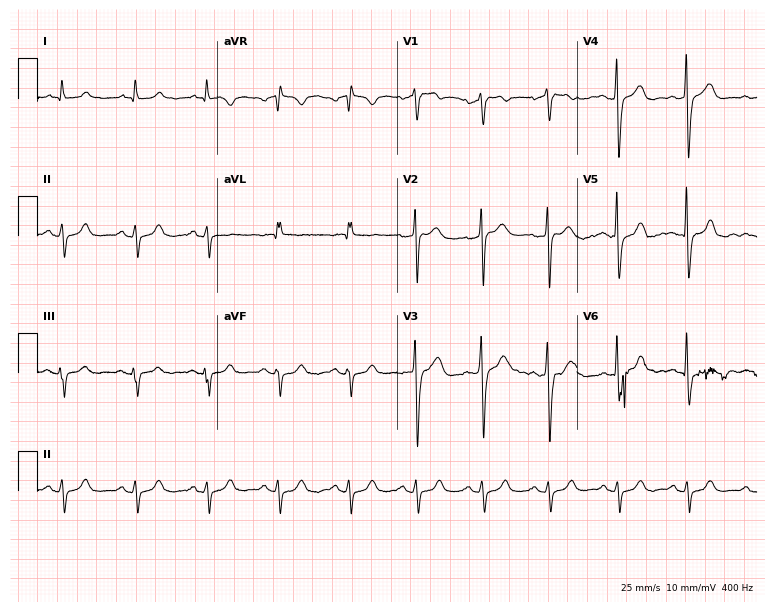
Resting 12-lead electrocardiogram. Patient: a 71-year-old male. None of these six findings is recorded: first-degree AV block, right bundle branch block, left bundle branch block, sinus bradycardia, atrial fibrillation, sinus tachycardia. Other findings, if any, are not listed.